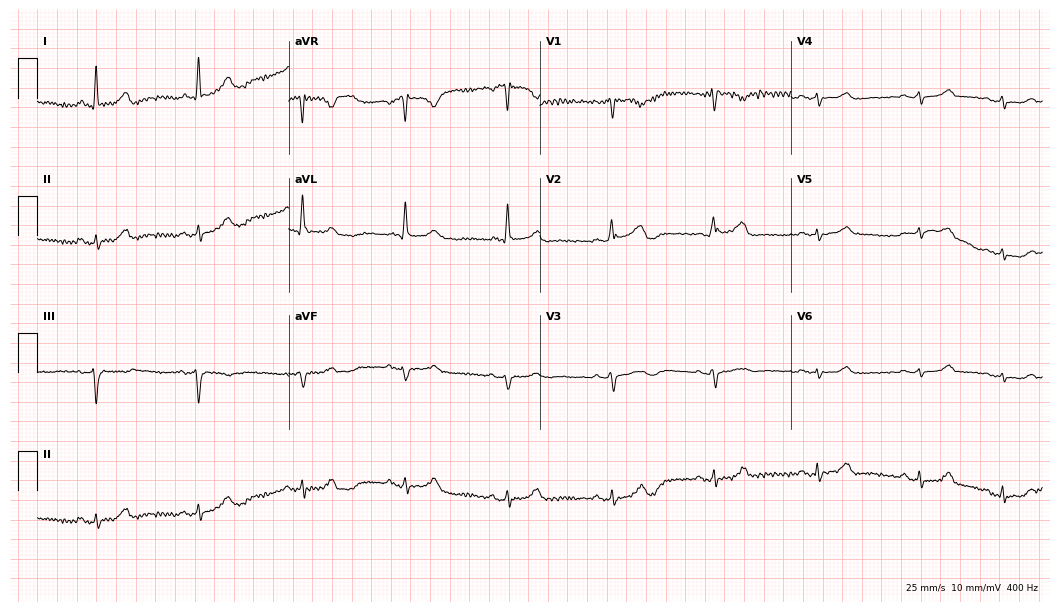
Electrocardiogram (10.2-second recording at 400 Hz), a female patient, 79 years old. Of the six screened findings (first-degree AV block, right bundle branch block (RBBB), left bundle branch block (LBBB), sinus bradycardia, atrial fibrillation (AF), sinus tachycardia), none is recorded. Other findings, if any, are not listed.